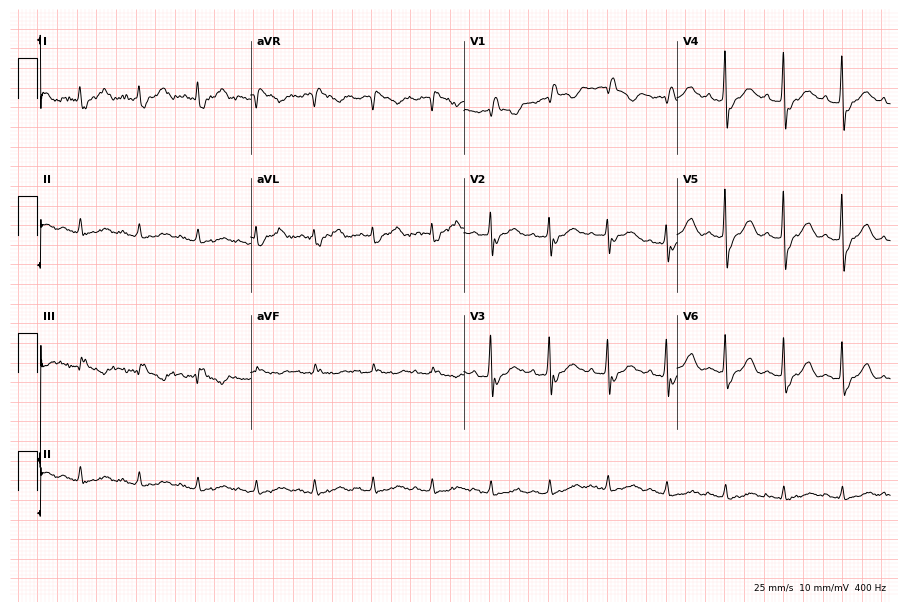
ECG (8.7-second recording at 400 Hz) — a 76-year-old male patient. Screened for six findings — first-degree AV block, right bundle branch block, left bundle branch block, sinus bradycardia, atrial fibrillation, sinus tachycardia — none is recorded. Only these six findings were labelled.